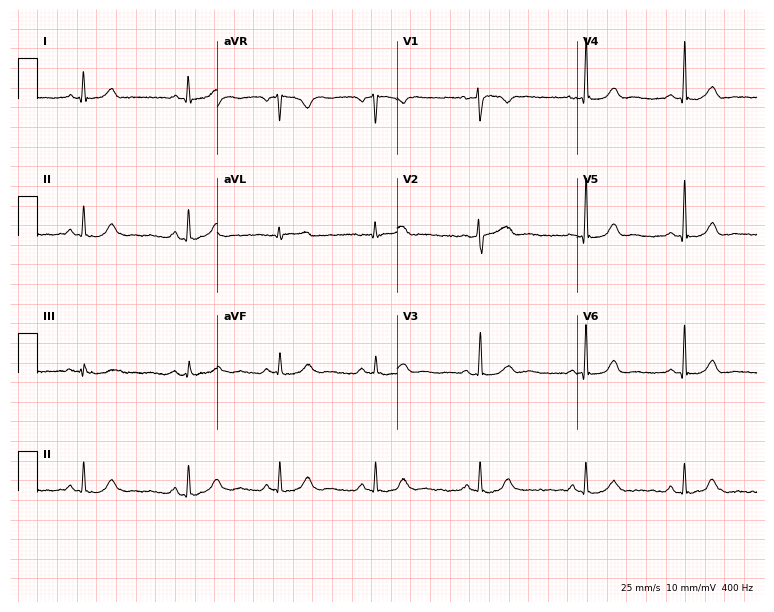
12-lead ECG from a 36-year-old female (7.3-second recording at 400 Hz). Recorded interpretation: within normal limits.